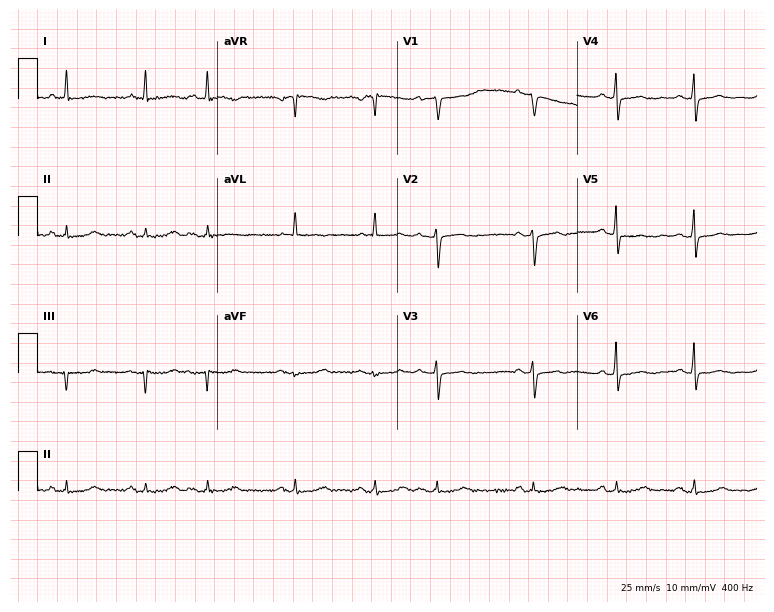
12-lead ECG from a female, 78 years old. Screened for six findings — first-degree AV block, right bundle branch block, left bundle branch block, sinus bradycardia, atrial fibrillation, sinus tachycardia — none is recorded. Only these six findings were labelled.